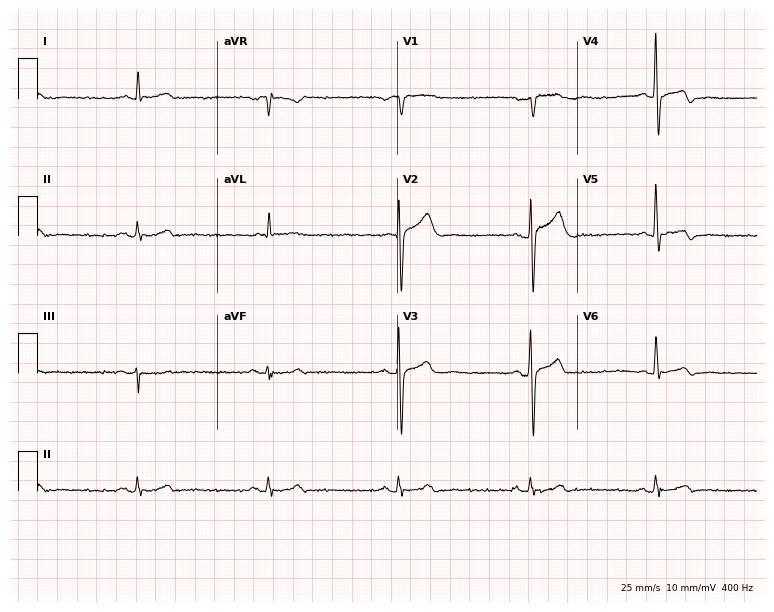
Resting 12-lead electrocardiogram (7.3-second recording at 400 Hz). Patient: an 80-year-old male. The tracing shows sinus bradycardia (a sinus rate of 50 beats per minute or less).